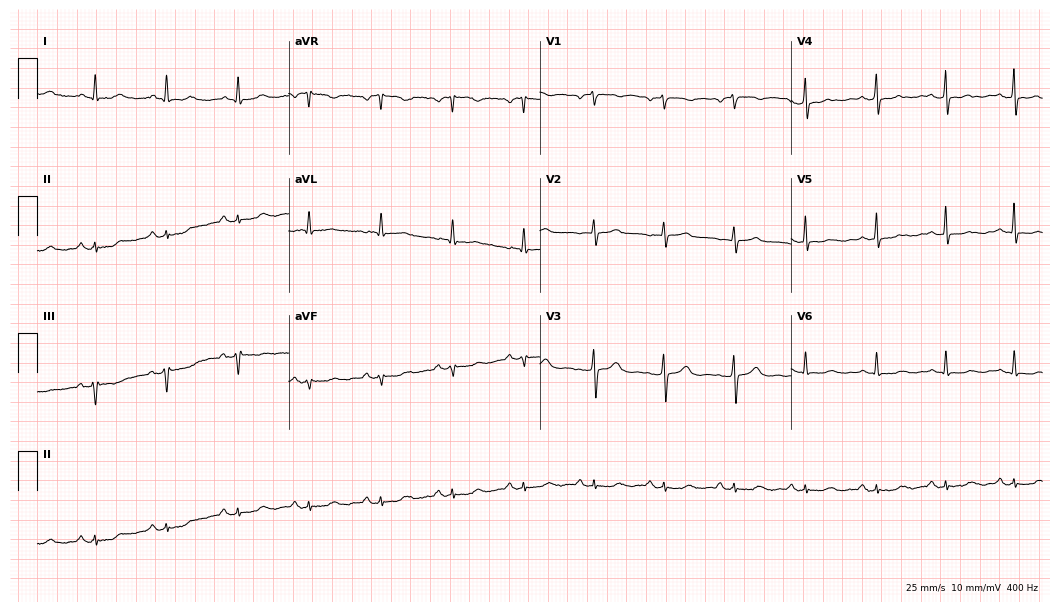
12-lead ECG from a 52-year-old woman. No first-degree AV block, right bundle branch block (RBBB), left bundle branch block (LBBB), sinus bradycardia, atrial fibrillation (AF) or sinus tachycardia recorded for this tracing. Only these six findings were labelled.